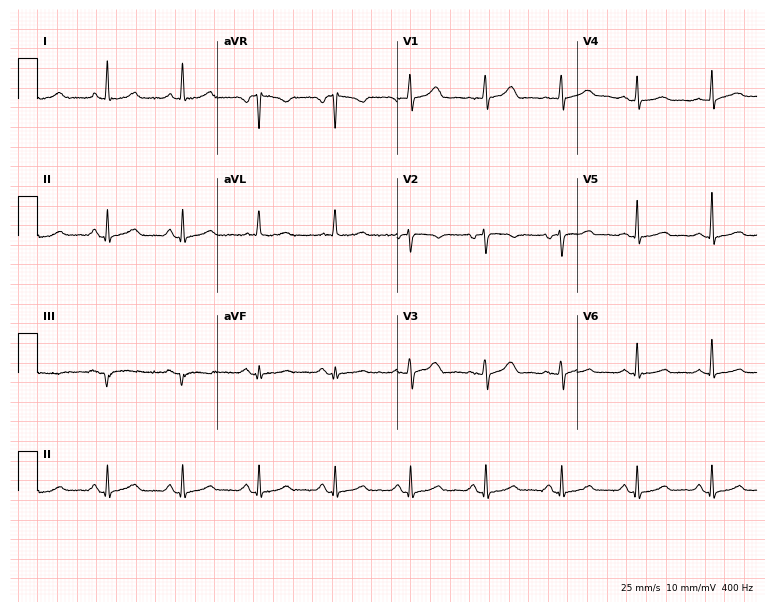
12-lead ECG from a 58-year-old female patient (7.3-second recording at 400 Hz). No first-degree AV block, right bundle branch block, left bundle branch block, sinus bradycardia, atrial fibrillation or sinus tachycardia recorded for this tracing.